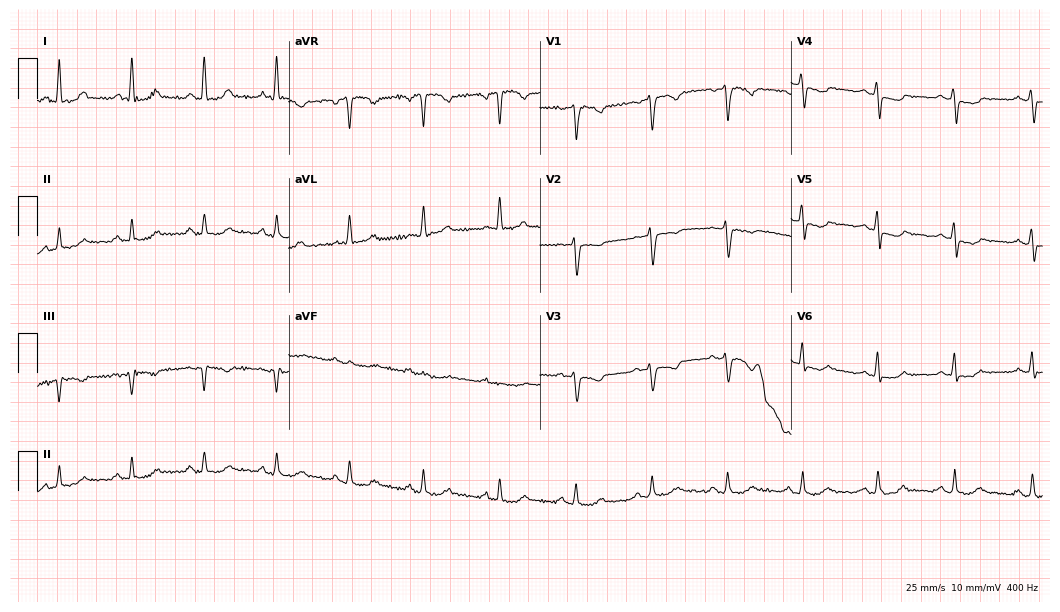
Resting 12-lead electrocardiogram (10.2-second recording at 400 Hz). Patient: a woman, 59 years old. None of these six findings is recorded: first-degree AV block, right bundle branch block, left bundle branch block, sinus bradycardia, atrial fibrillation, sinus tachycardia. Findings outside these six are not listed.